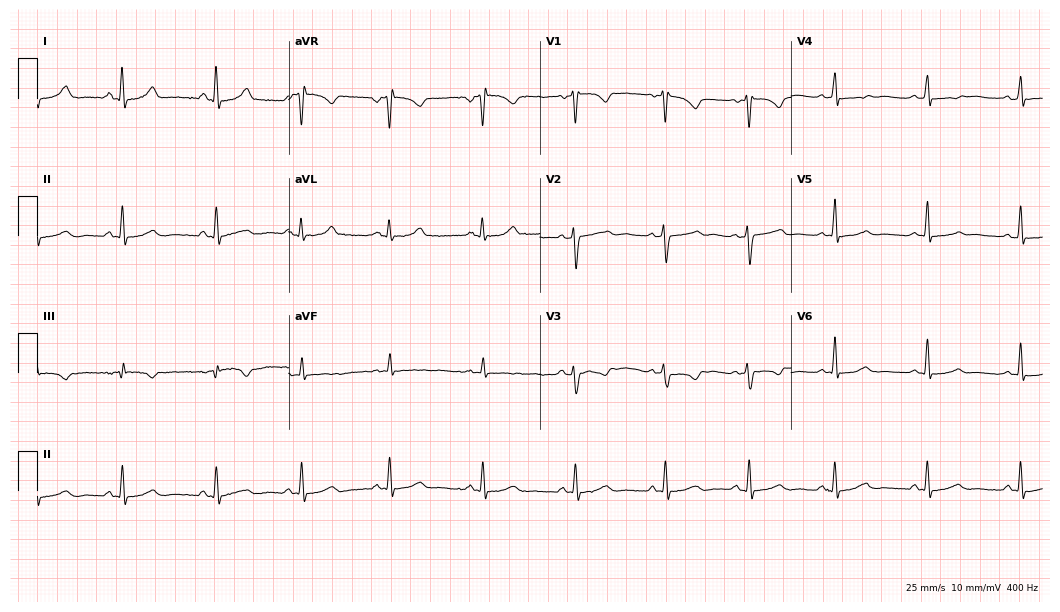
ECG — a woman, 30 years old. Labelled as a normal ECG.